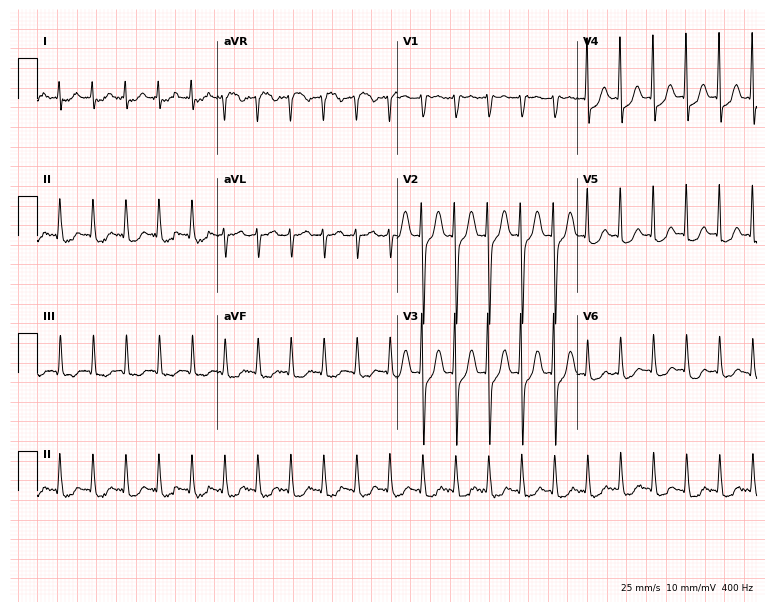
Standard 12-lead ECG recorded from a woman, 58 years old (7.3-second recording at 400 Hz). None of these six findings is recorded: first-degree AV block, right bundle branch block, left bundle branch block, sinus bradycardia, atrial fibrillation, sinus tachycardia. Other findings, if any, are not listed.